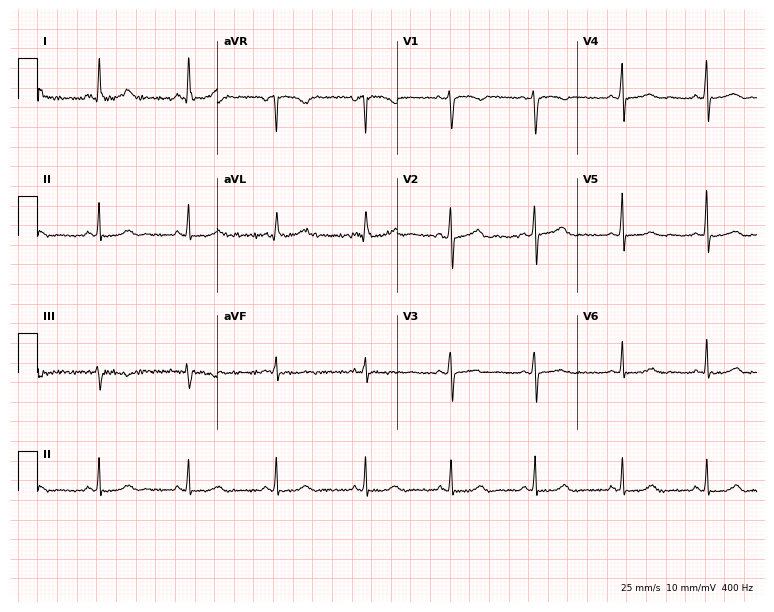
12-lead ECG from a woman, 44 years old (7.3-second recording at 400 Hz). Recorded interpretation: within normal limits.